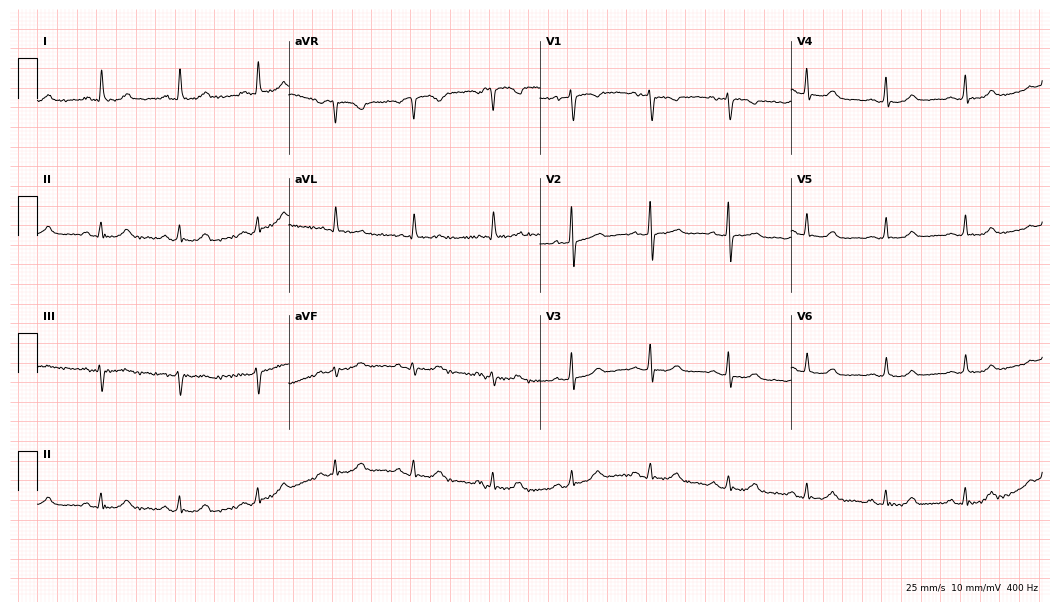
ECG — a woman, 76 years old. Screened for six findings — first-degree AV block, right bundle branch block, left bundle branch block, sinus bradycardia, atrial fibrillation, sinus tachycardia — none is recorded.